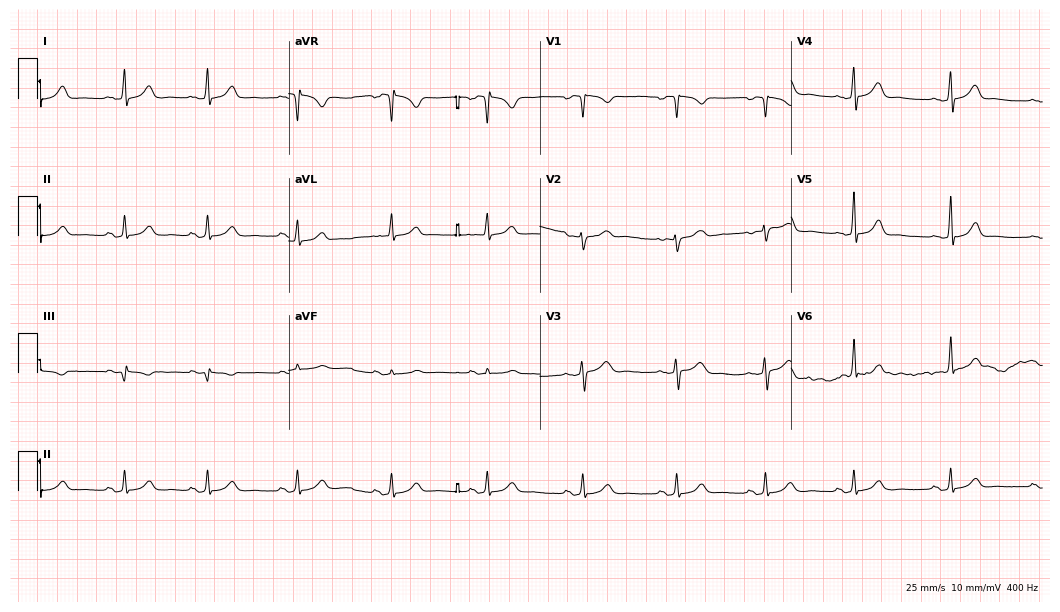
Resting 12-lead electrocardiogram. Patient: a 29-year-old female. Read as a normal ECG.